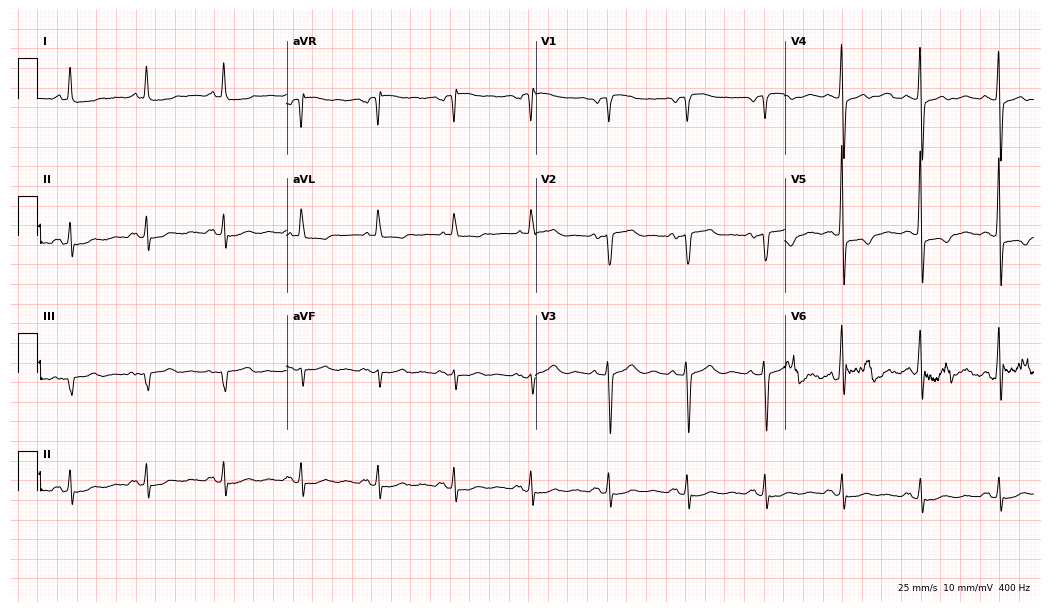
Resting 12-lead electrocardiogram (10.2-second recording at 400 Hz). Patient: a male, 79 years old. None of these six findings is recorded: first-degree AV block, right bundle branch block (RBBB), left bundle branch block (LBBB), sinus bradycardia, atrial fibrillation (AF), sinus tachycardia. Other findings, if any, are not listed.